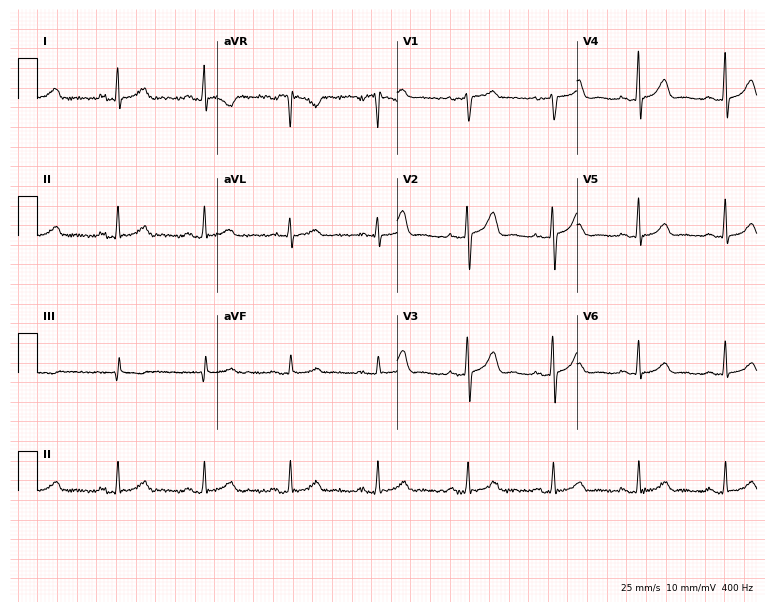
Electrocardiogram, a female patient, 48 years old. Overall reading on record: normal ECG.